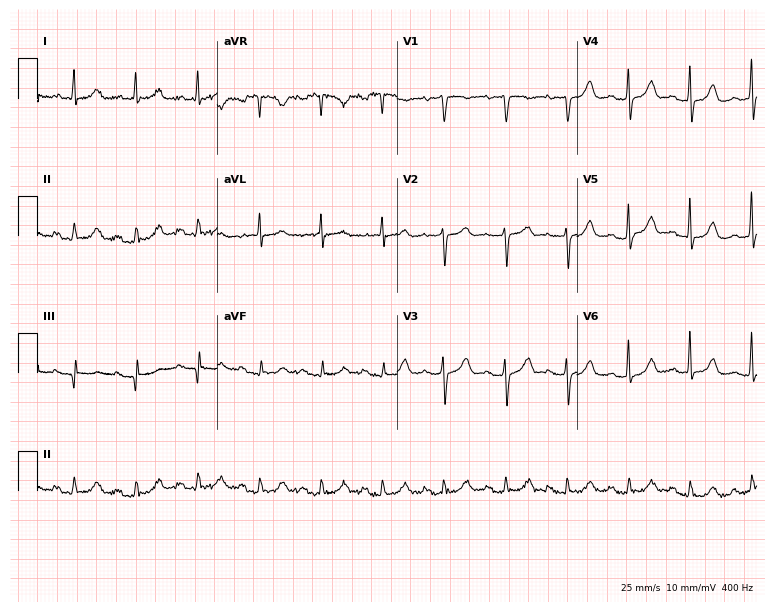
ECG (7.3-second recording at 400 Hz) — a female, 77 years old. Labelled as a normal ECG.